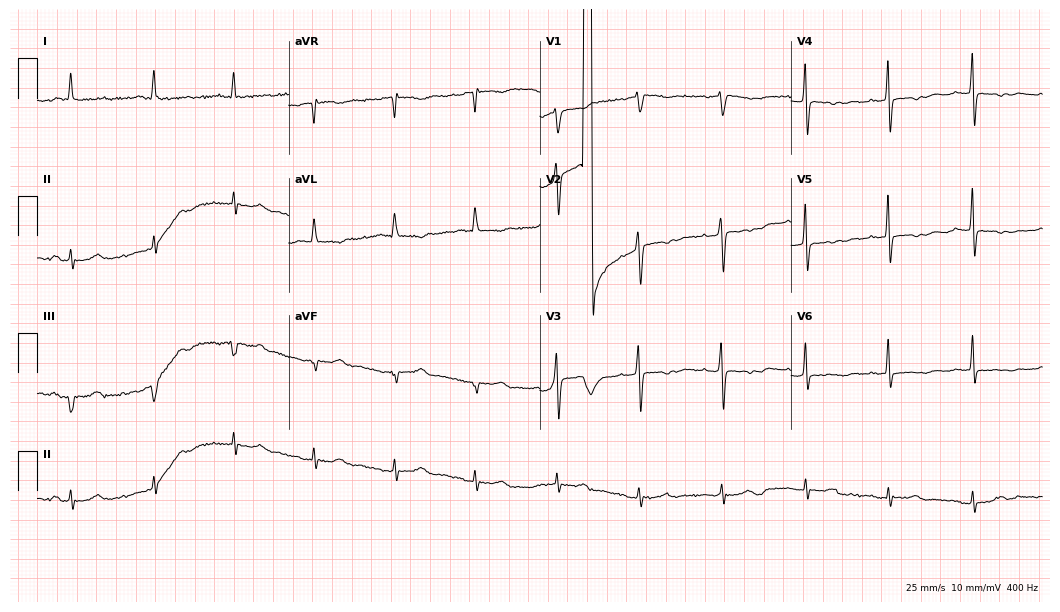
ECG — a 75-year-old female patient. Screened for six findings — first-degree AV block, right bundle branch block (RBBB), left bundle branch block (LBBB), sinus bradycardia, atrial fibrillation (AF), sinus tachycardia — none is recorded. Other findings, if any, are not listed.